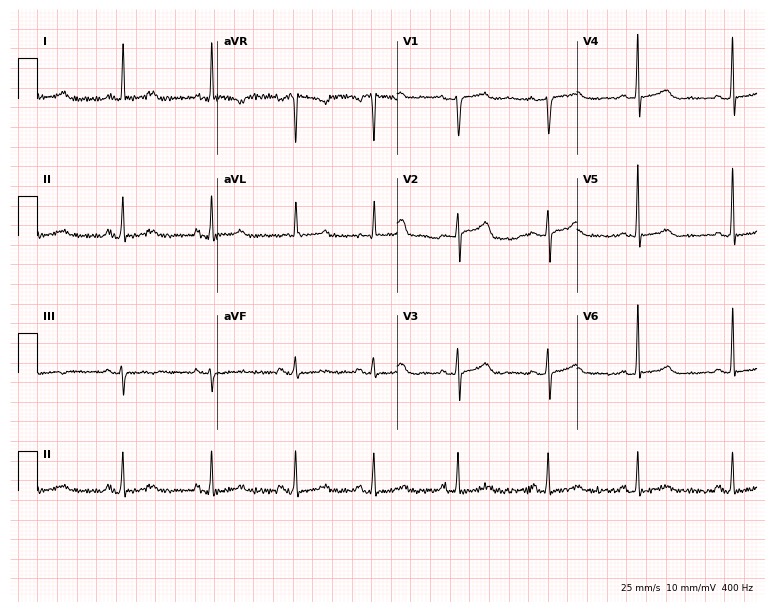
Standard 12-lead ECG recorded from a 49-year-old woman (7.3-second recording at 400 Hz). None of these six findings is recorded: first-degree AV block, right bundle branch block, left bundle branch block, sinus bradycardia, atrial fibrillation, sinus tachycardia.